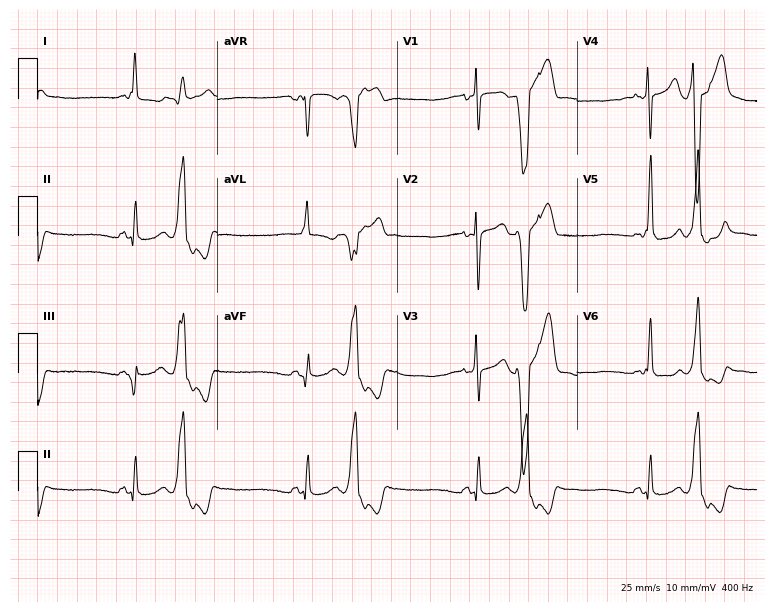
12-lead ECG (7.3-second recording at 400 Hz) from a 30-year-old woman. Screened for six findings — first-degree AV block, right bundle branch block, left bundle branch block, sinus bradycardia, atrial fibrillation, sinus tachycardia — none is recorded.